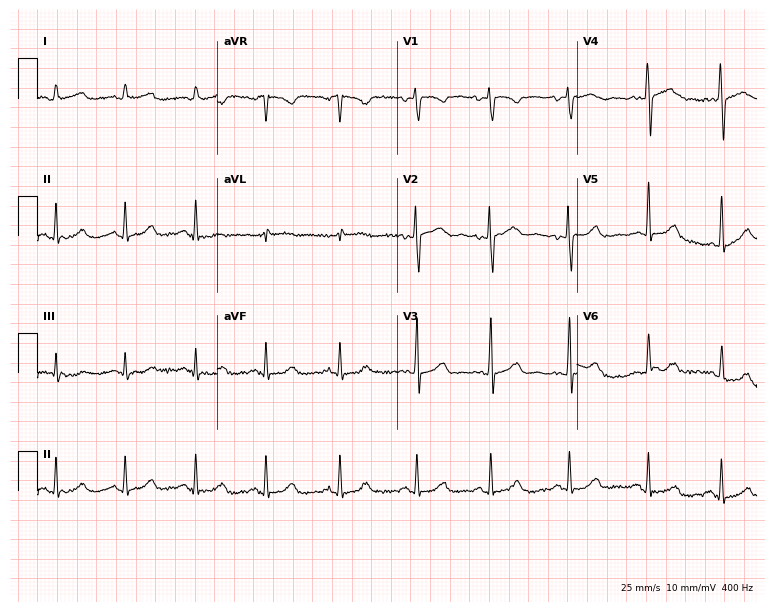
12-lead ECG (7.3-second recording at 400 Hz) from a female, 36 years old. Labelled as a normal ECG.